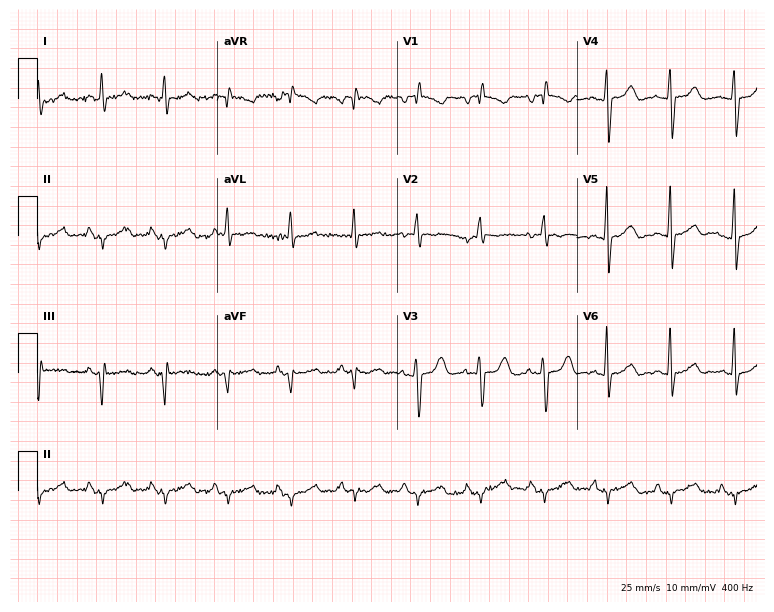
ECG — a male patient, 67 years old. Screened for six findings — first-degree AV block, right bundle branch block (RBBB), left bundle branch block (LBBB), sinus bradycardia, atrial fibrillation (AF), sinus tachycardia — none is recorded. Other findings, if any, are not listed.